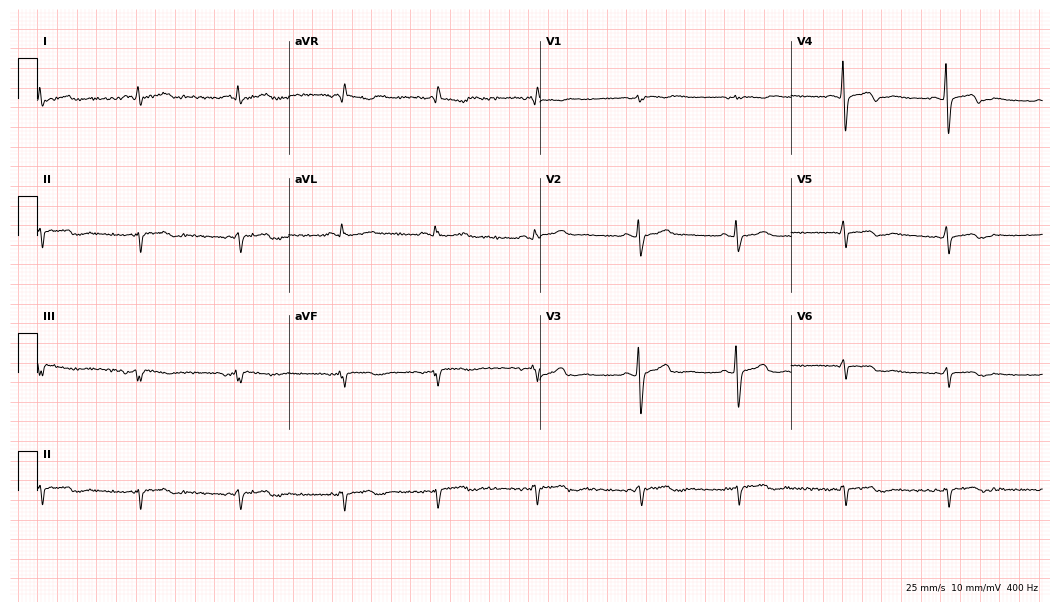
12-lead ECG from a man, 37 years old (10.2-second recording at 400 Hz). No first-degree AV block, right bundle branch block, left bundle branch block, sinus bradycardia, atrial fibrillation or sinus tachycardia recorded for this tracing. Findings outside these six are not listed.